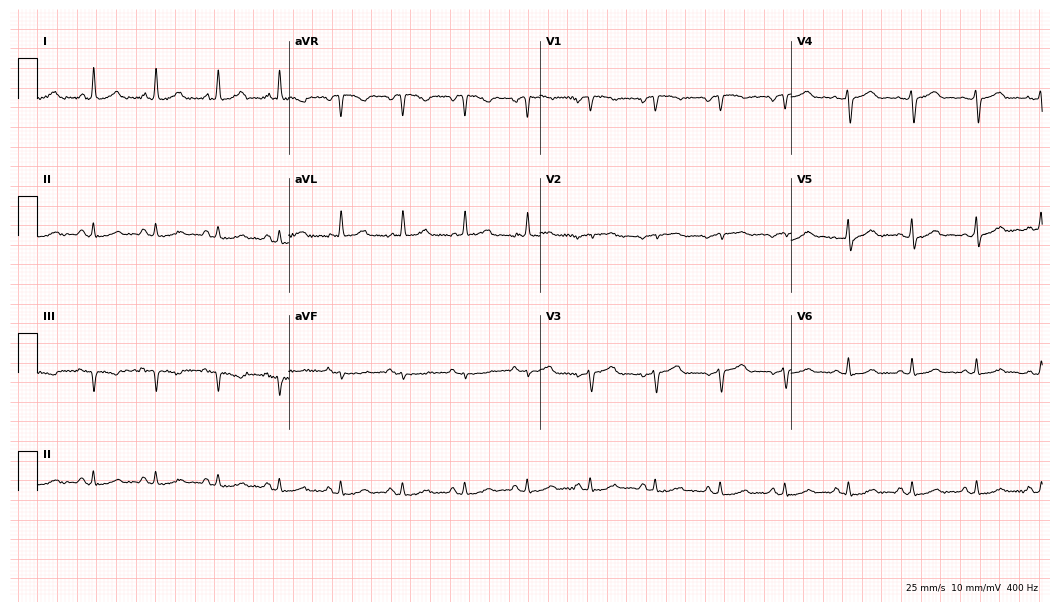
12-lead ECG (10.2-second recording at 400 Hz) from a female patient, 57 years old. Labelled as a normal ECG.